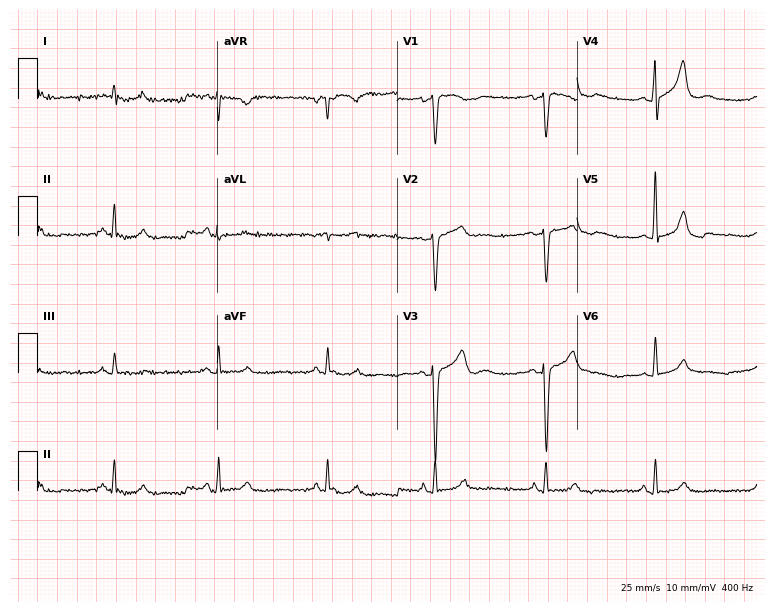
Resting 12-lead electrocardiogram (7.3-second recording at 400 Hz). Patient: a male, 62 years old. Read as a normal ECG.